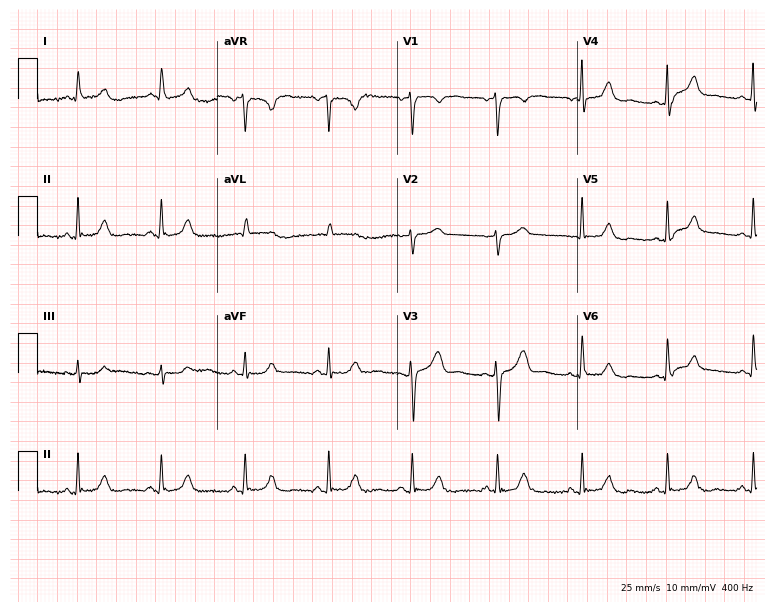
ECG (7.3-second recording at 400 Hz) — a 62-year-old female patient. Labelled as a normal ECG.